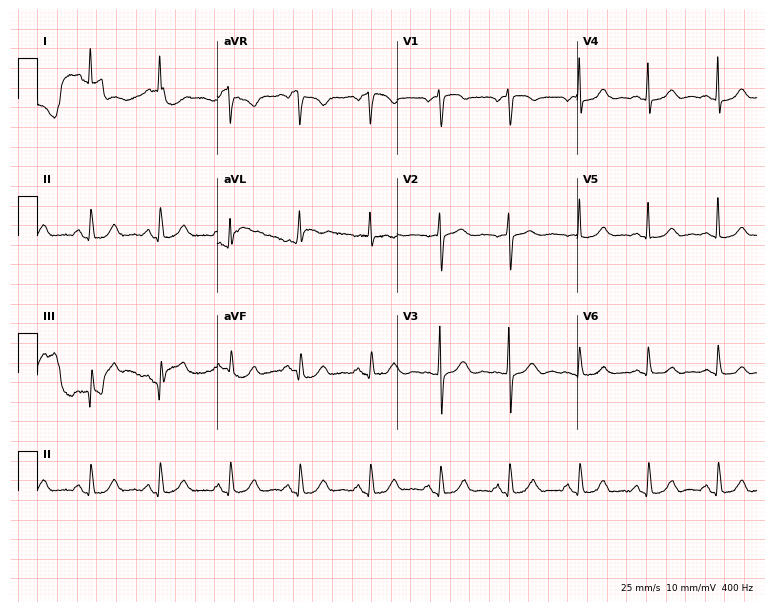
12-lead ECG from a 67-year-old female. Recorded interpretation: within normal limits.